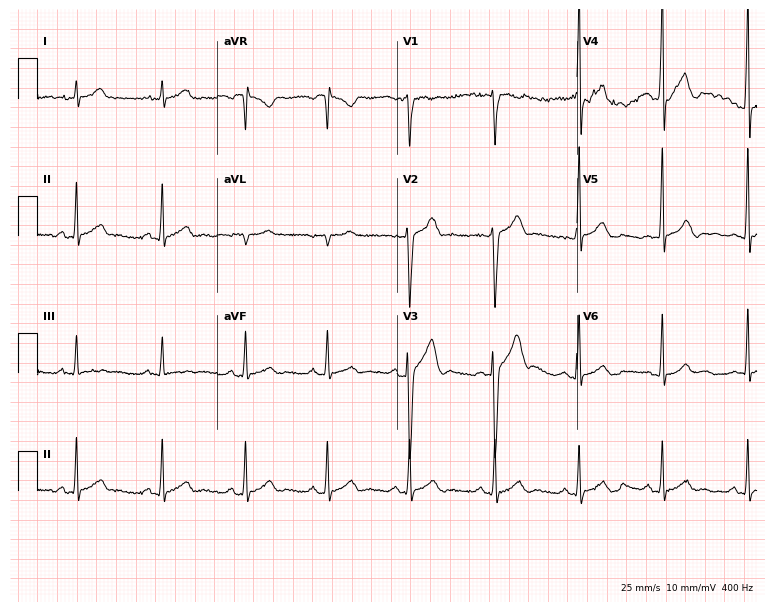
Resting 12-lead electrocardiogram. Patient: a 34-year-old male. None of these six findings is recorded: first-degree AV block, right bundle branch block (RBBB), left bundle branch block (LBBB), sinus bradycardia, atrial fibrillation (AF), sinus tachycardia. Findings outside these six are not listed.